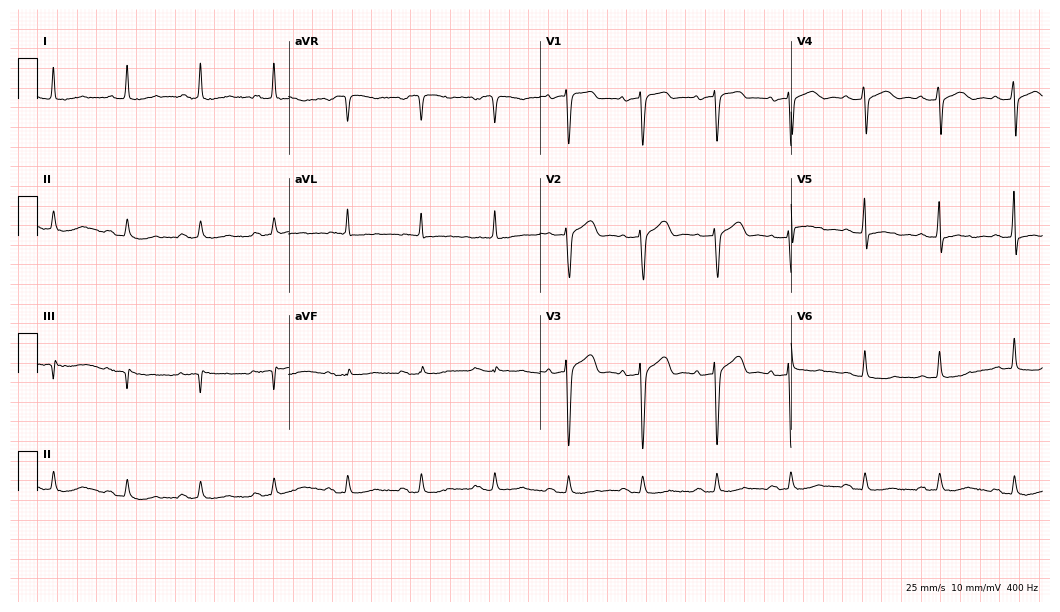
ECG (10.2-second recording at 400 Hz) — an 81-year-old female. Labelled as a normal ECG.